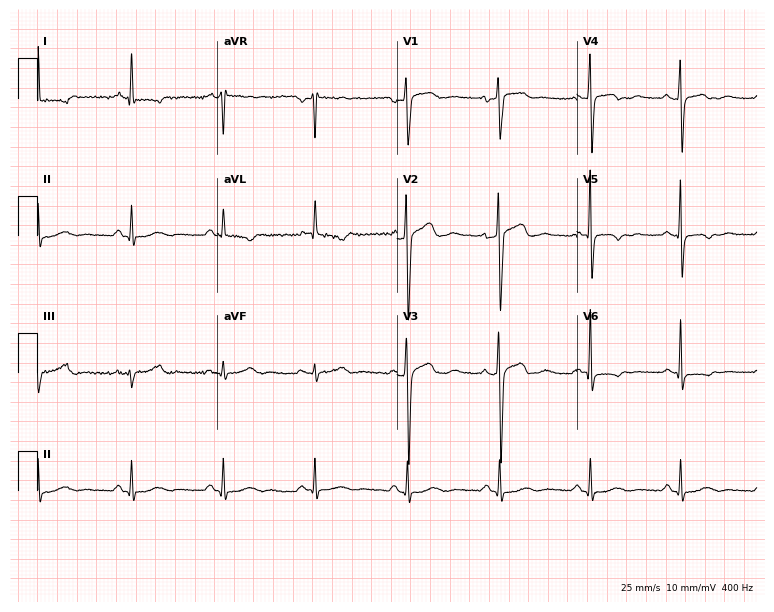
12-lead ECG from a 47-year-old male patient. Screened for six findings — first-degree AV block, right bundle branch block (RBBB), left bundle branch block (LBBB), sinus bradycardia, atrial fibrillation (AF), sinus tachycardia — none is recorded. Only these six findings were labelled.